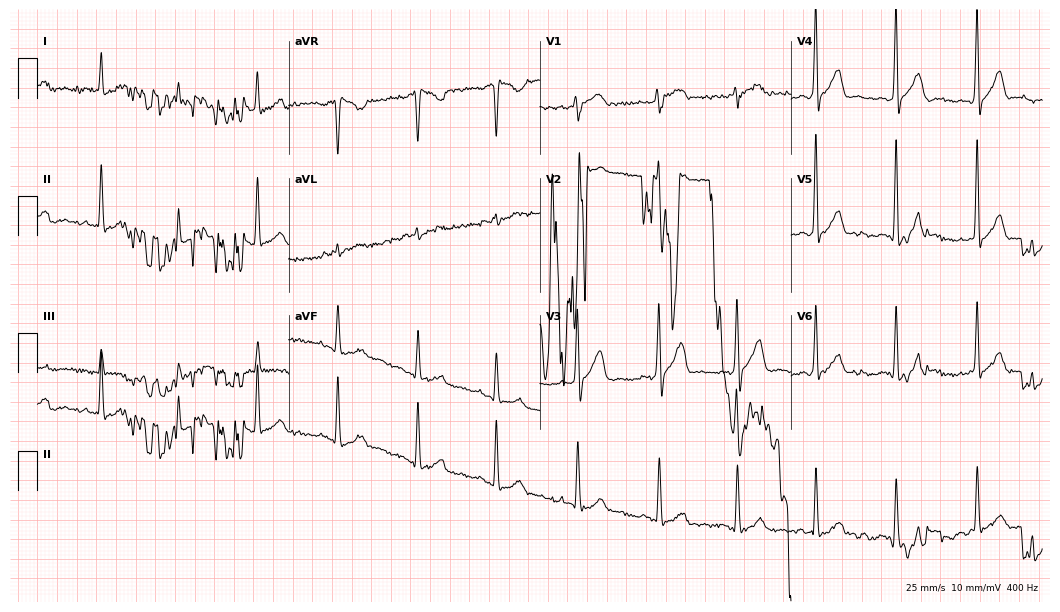
Resting 12-lead electrocardiogram. Patient: a 50-year-old male. None of these six findings is recorded: first-degree AV block, right bundle branch block (RBBB), left bundle branch block (LBBB), sinus bradycardia, atrial fibrillation (AF), sinus tachycardia.